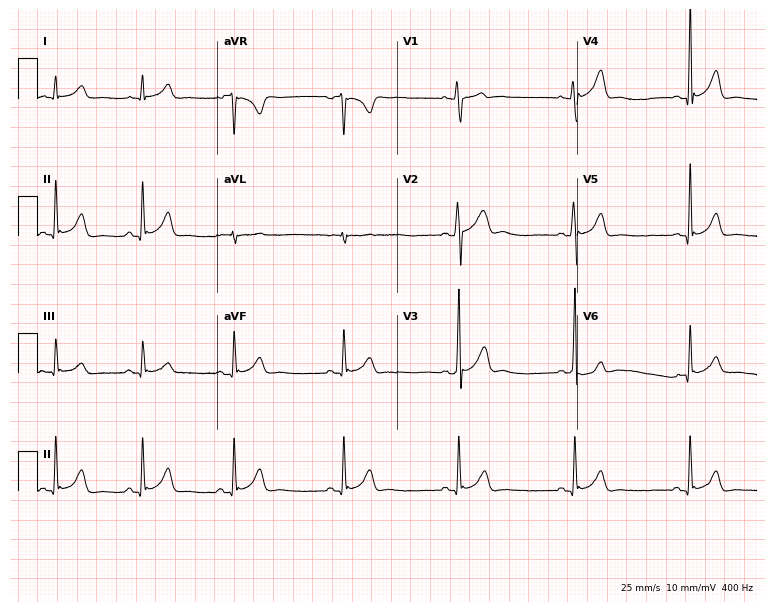
12-lead ECG from a man, 23 years old (7.3-second recording at 400 Hz). No first-degree AV block, right bundle branch block, left bundle branch block, sinus bradycardia, atrial fibrillation or sinus tachycardia recorded for this tracing.